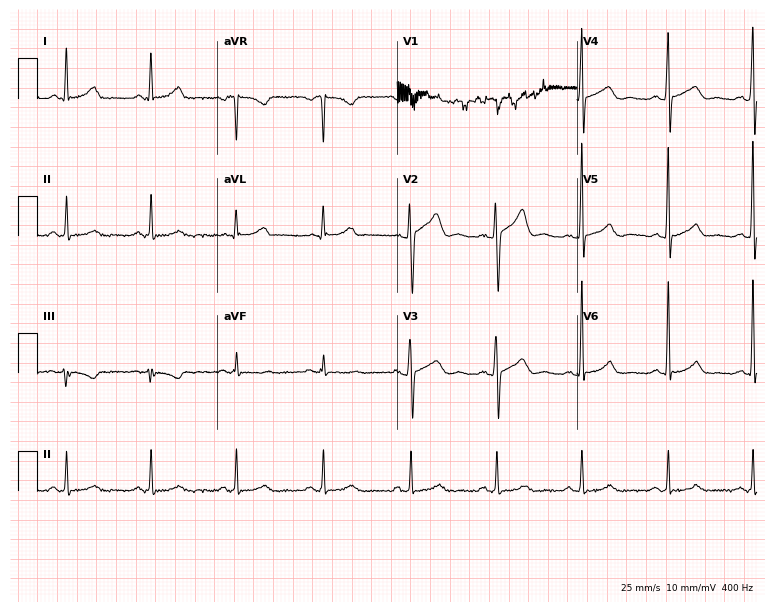
ECG — a 36-year-old man. Labelled as a normal ECG.